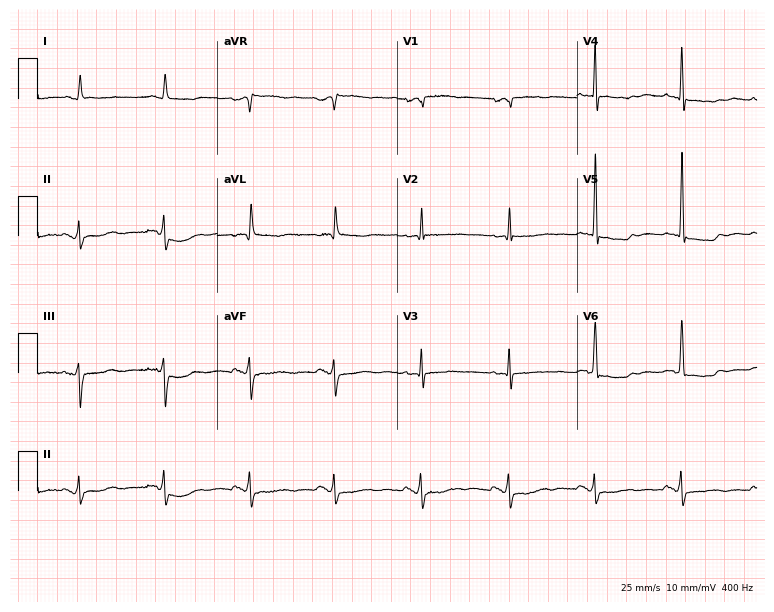
ECG (7.3-second recording at 400 Hz) — an 83-year-old female. Screened for six findings — first-degree AV block, right bundle branch block, left bundle branch block, sinus bradycardia, atrial fibrillation, sinus tachycardia — none is recorded. Findings outside these six are not listed.